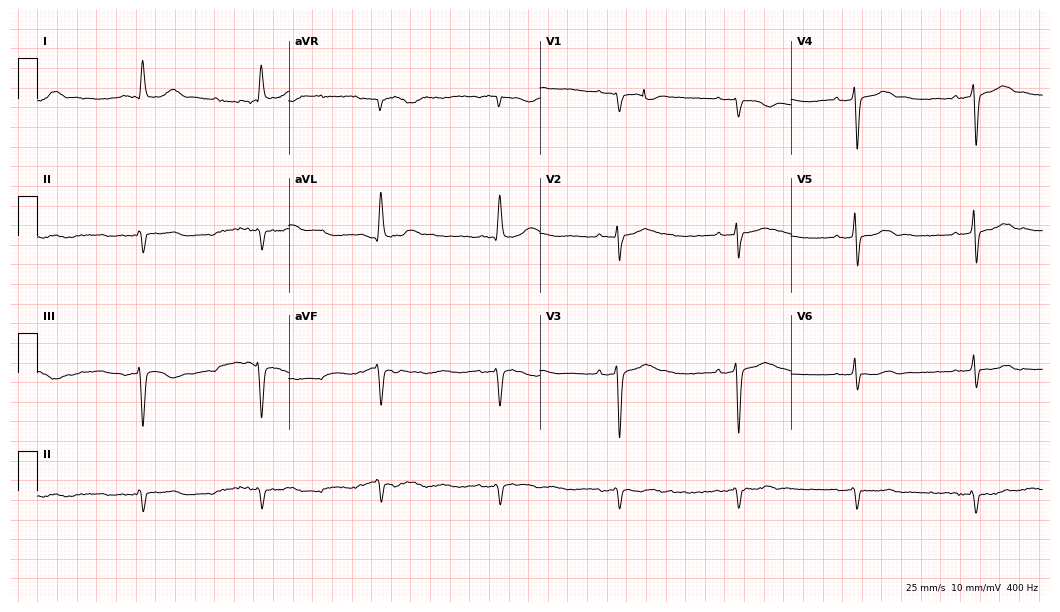
Standard 12-lead ECG recorded from a man, 85 years old. None of these six findings is recorded: first-degree AV block, right bundle branch block, left bundle branch block, sinus bradycardia, atrial fibrillation, sinus tachycardia. Only these six findings were labelled.